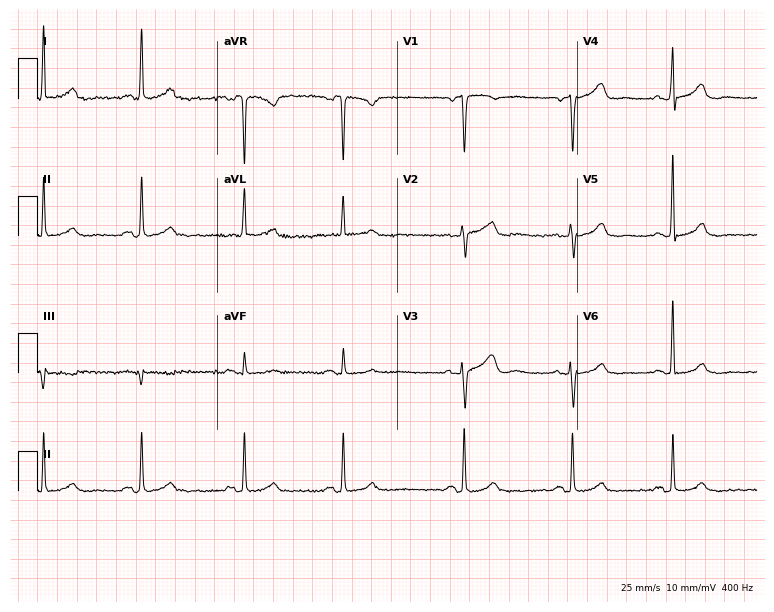
12-lead ECG from a 67-year-old woman (7.3-second recording at 400 Hz). No first-degree AV block, right bundle branch block, left bundle branch block, sinus bradycardia, atrial fibrillation or sinus tachycardia recorded for this tracing.